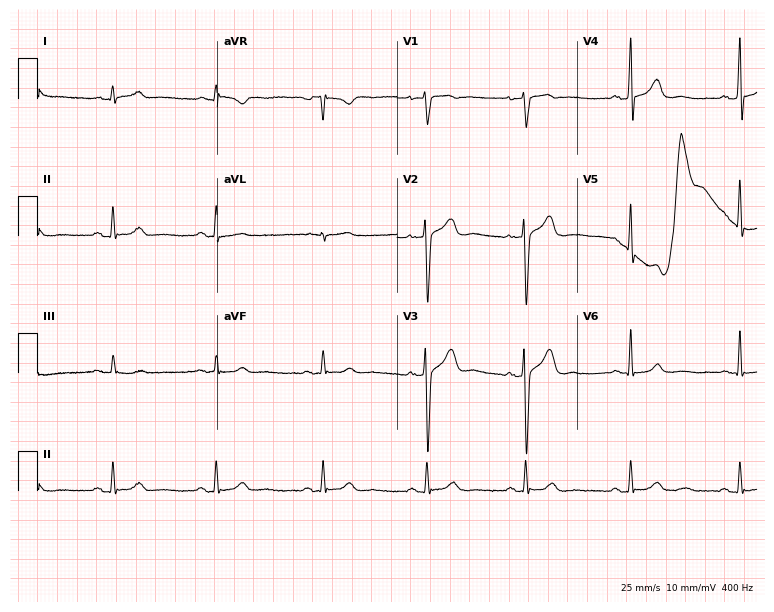
ECG (7.3-second recording at 400 Hz) — a 41-year-old man. Labelled as a normal ECG.